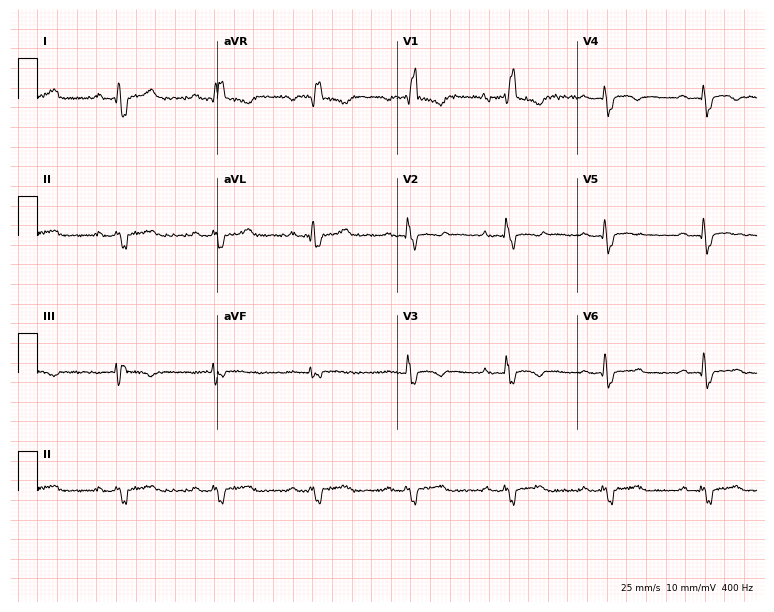
Resting 12-lead electrocardiogram. Patient: a 34-year-old female. The tracing shows first-degree AV block, right bundle branch block.